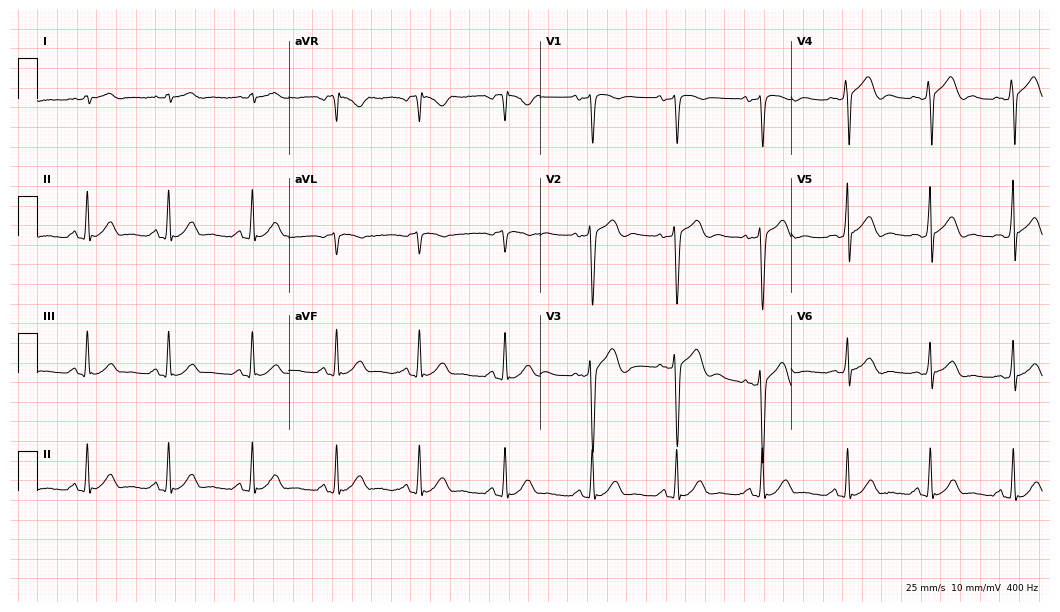
Standard 12-lead ECG recorded from a male patient, 26 years old. None of these six findings is recorded: first-degree AV block, right bundle branch block, left bundle branch block, sinus bradycardia, atrial fibrillation, sinus tachycardia.